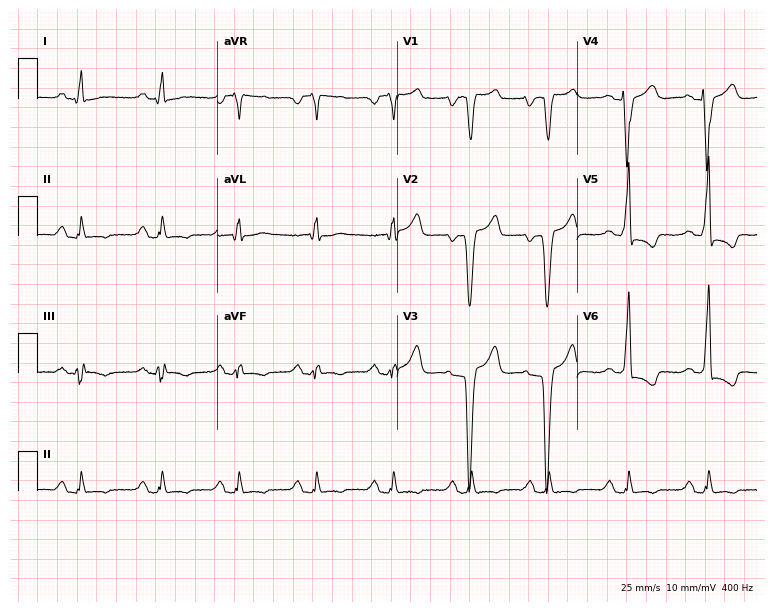
12-lead ECG from a female patient, 41 years old. Findings include left bundle branch block.